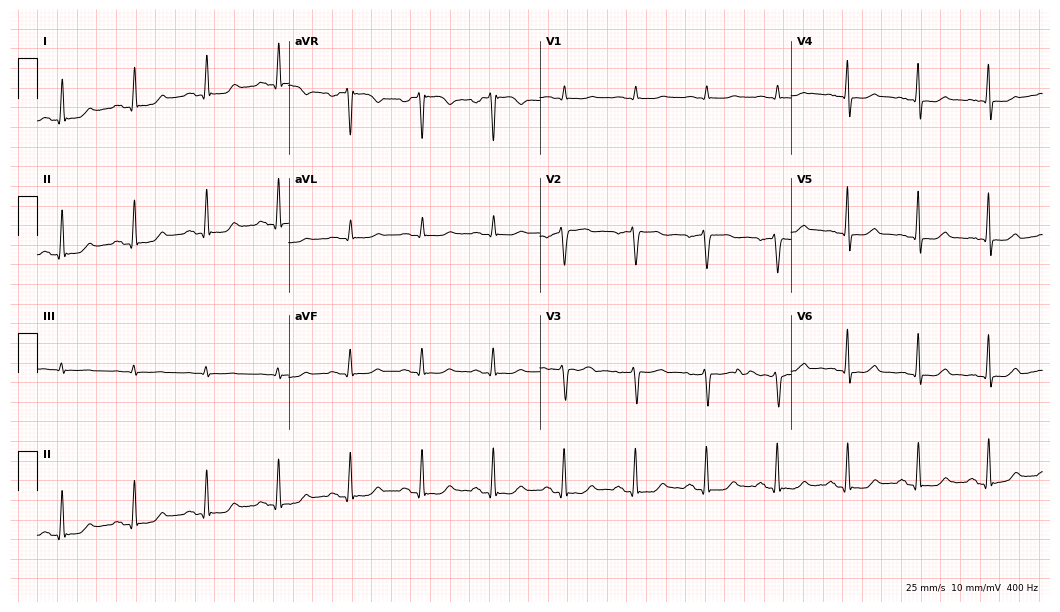
ECG — a woman, 56 years old. Screened for six findings — first-degree AV block, right bundle branch block, left bundle branch block, sinus bradycardia, atrial fibrillation, sinus tachycardia — none is recorded. Only these six findings were labelled.